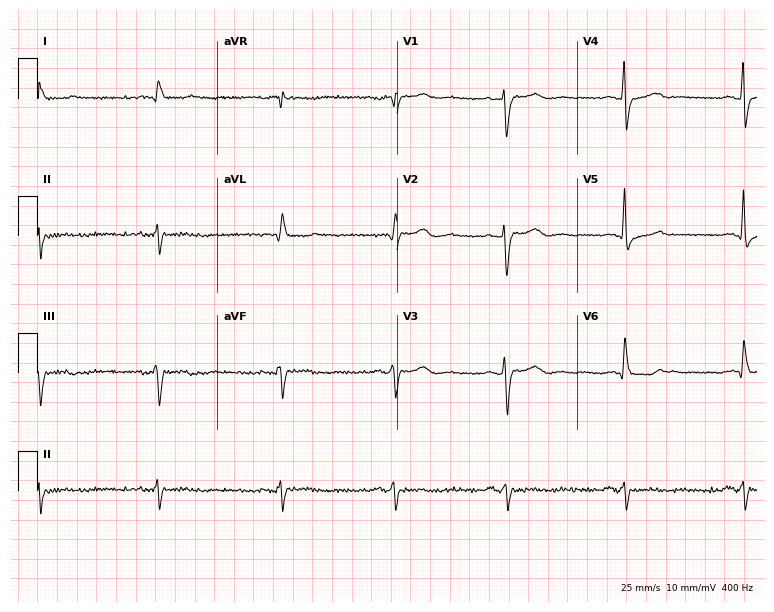
Resting 12-lead electrocardiogram (7.3-second recording at 400 Hz). Patient: a male, 69 years old. The tracing shows sinus bradycardia (a sinus rate of 50 beats per minute or less).